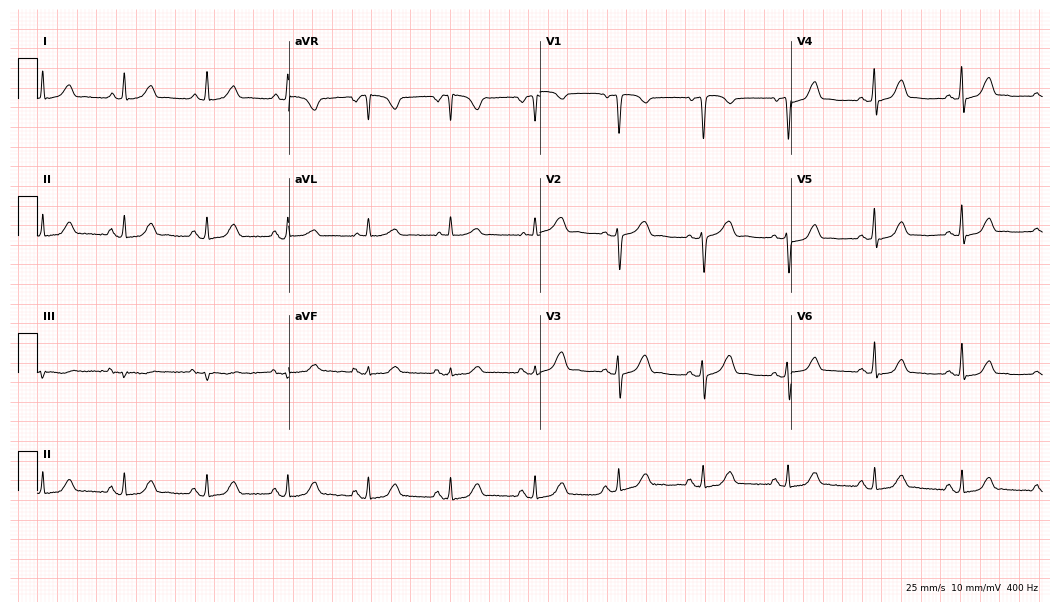
ECG (10.2-second recording at 400 Hz) — a female patient, 50 years old. Labelled as a normal ECG.